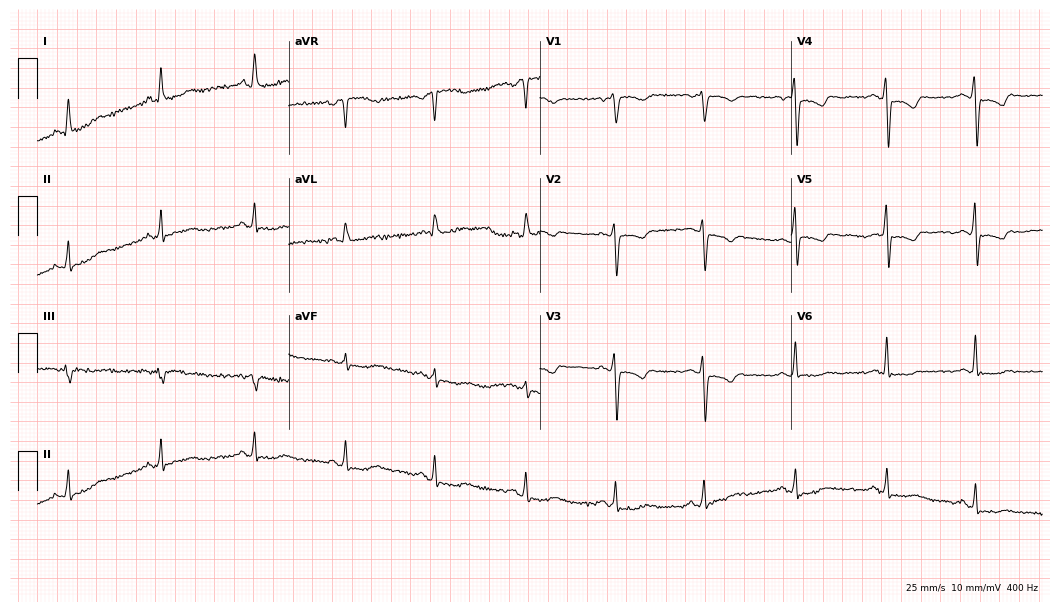
ECG (10.2-second recording at 400 Hz) — a 53-year-old female patient. Screened for six findings — first-degree AV block, right bundle branch block, left bundle branch block, sinus bradycardia, atrial fibrillation, sinus tachycardia — none is recorded.